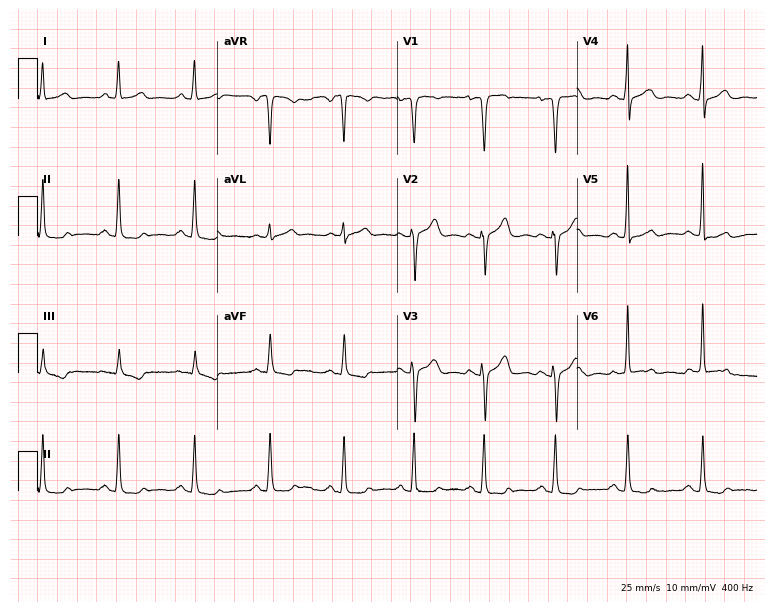
Electrocardiogram, a female patient, 38 years old. Of the six screened findings (first-degree AV block, right bundle branch block, left bundle branch block, sinus bradycardia, atrial fibrillation, sinus tachycardia), none is recorded.